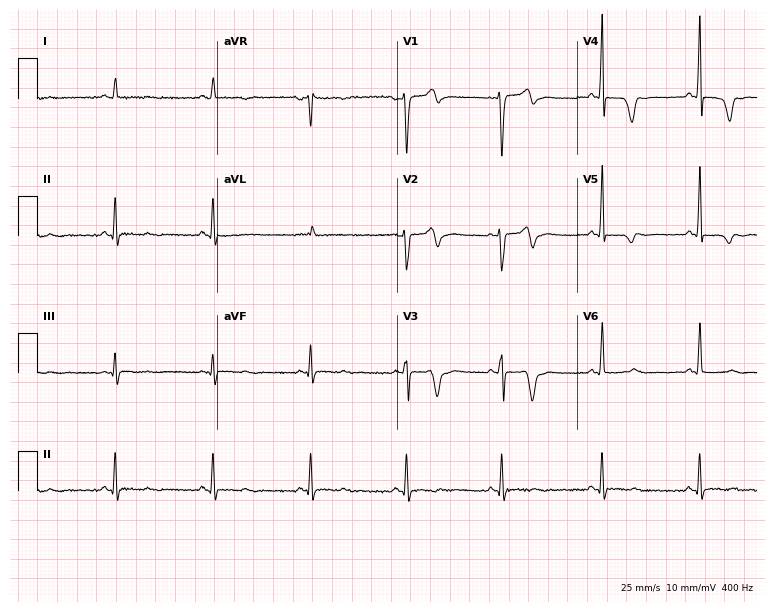
12-lead ECG (7.3-second recording at 400 Hz) from a 67-year-old male patient. Screened for six findings — first-degree AV block, right bundle branch block, left bundle branch block, sinus bradycardia, atrial fibrillation, sinus tachycardia — none is recorded. Other findings, if any, are not listed.